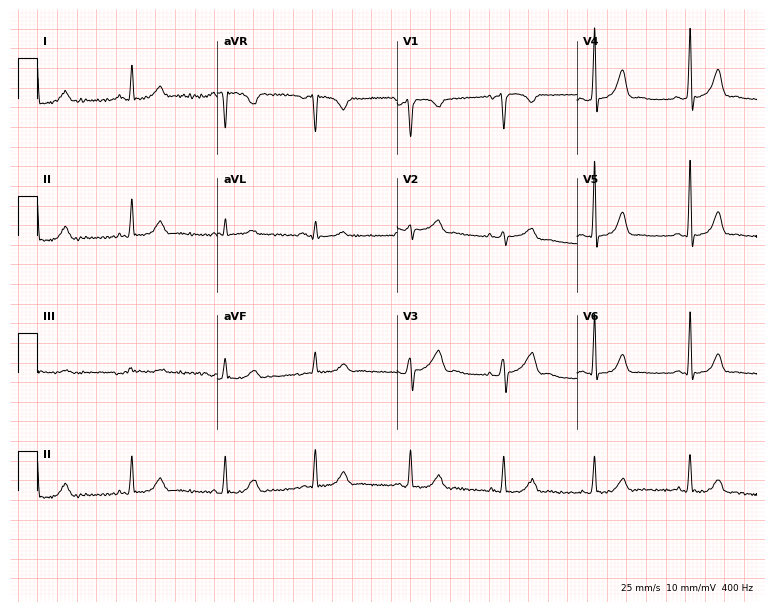
12-lead ECG from a 31-year-old female. Screened for six findings — first-degree AV block, right bundle branch block, left bundle branch block, sinus bradycardia, atrial fibrillation, sinus tachycardia — none is recorded.